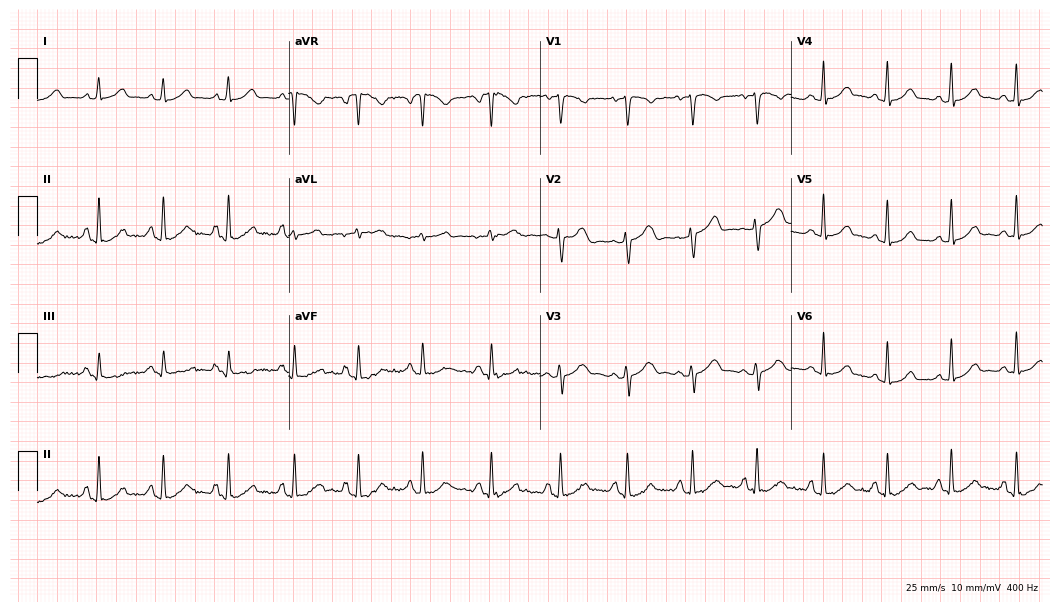
12-lead ECG from a woman, 35 years old. Labelled as a normal ECG.